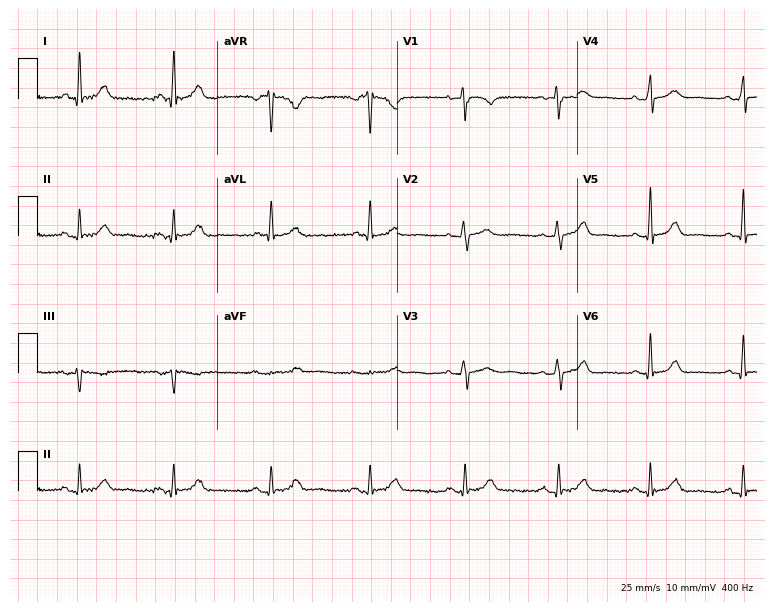
Electrocardiogram, a female patient, 64 years old. Overall reading on record: normal ECG.